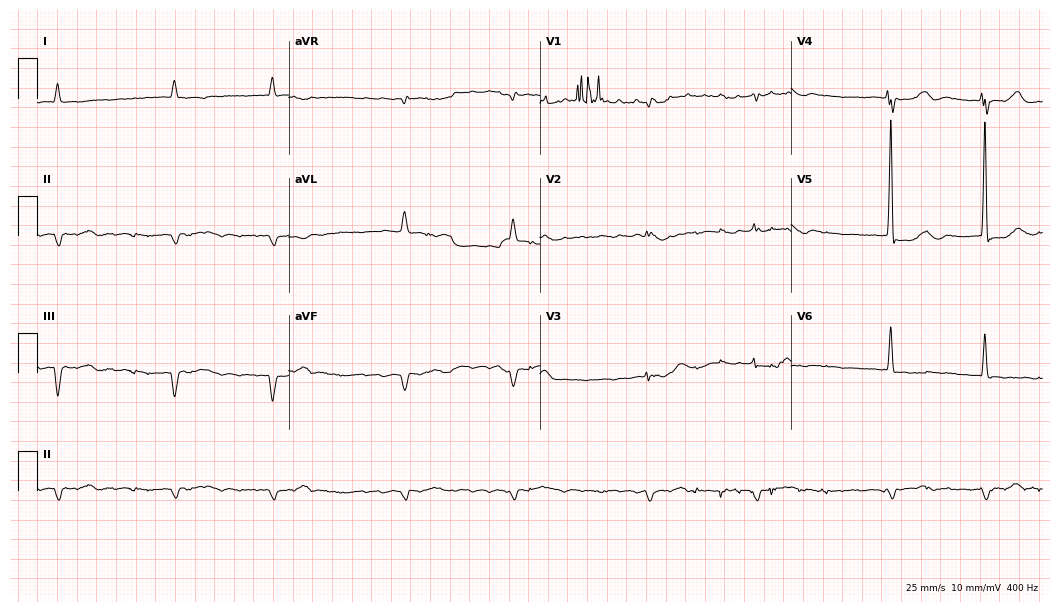
12-lead ECG from a man, 77 years old. No first-degree AV block, right bundle branch block (RBBB), left bundle branch block (LBBB), sinus bradycardia, atrial fibrillation (AF) or sinus tachycardia recorded for this tracing. Findings outside these six are not listed.